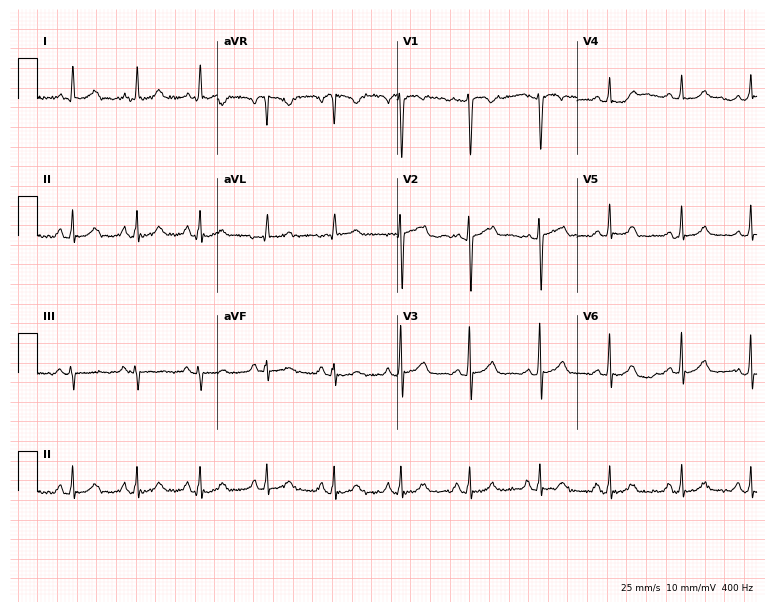
12-lead ECG from a female patient, 32 years old (7.3-second recording at 400 Hz). Recorded interpretation: within normal limits.